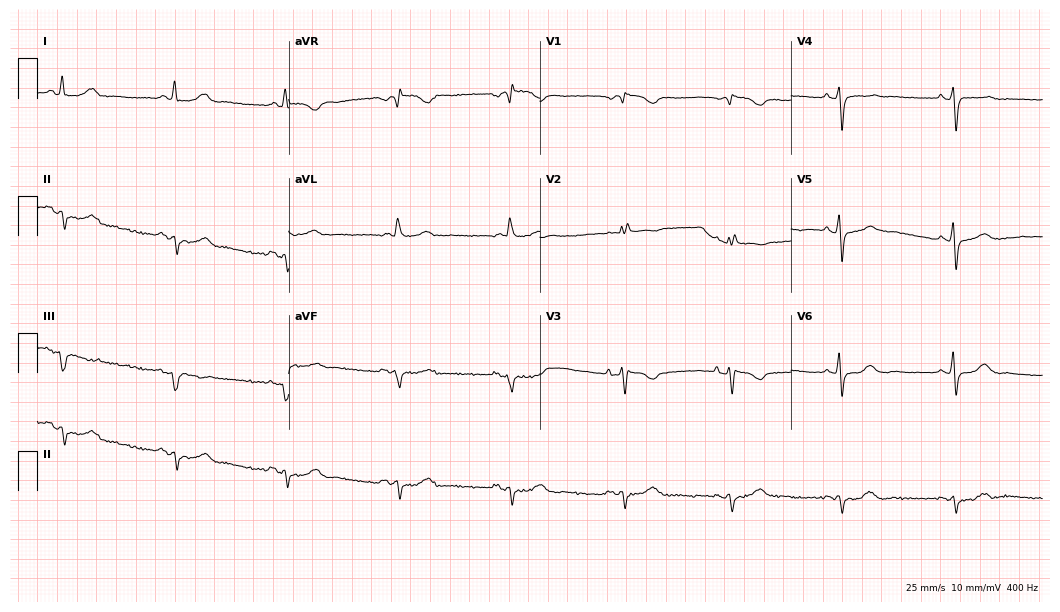
ECG (10.2-second recording at 400 Hz) — a female patient, 72 years old. Findings include right bundle branch block.